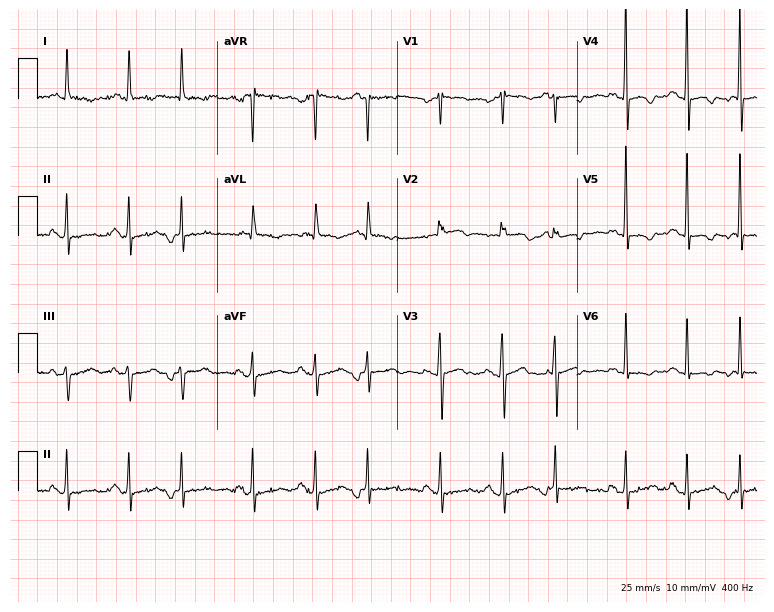
Electrocardiogram, a female patient, 79 years old. Of the six screened findings (first-degree AV block, right bundle branch block (RBBB), left bundle branch block (LBBB), sinus bradycardia, atrial fibrillation (AF), sinus tachycardia), none is recorded. Only these six findings were labelled.